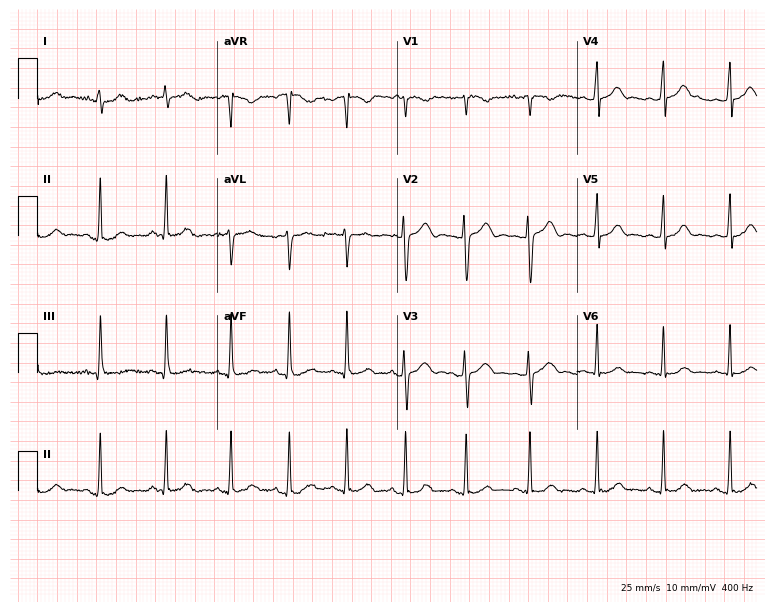
ECG (7.3-second recording at 400 Hz) — a 17-year-old female patient. Screened for six findings — first-degree AV block, right bundle branch block, left bundle branch block, sinus bradycardia, atrial fibrillation, sinus tachycardia — none is recorded.